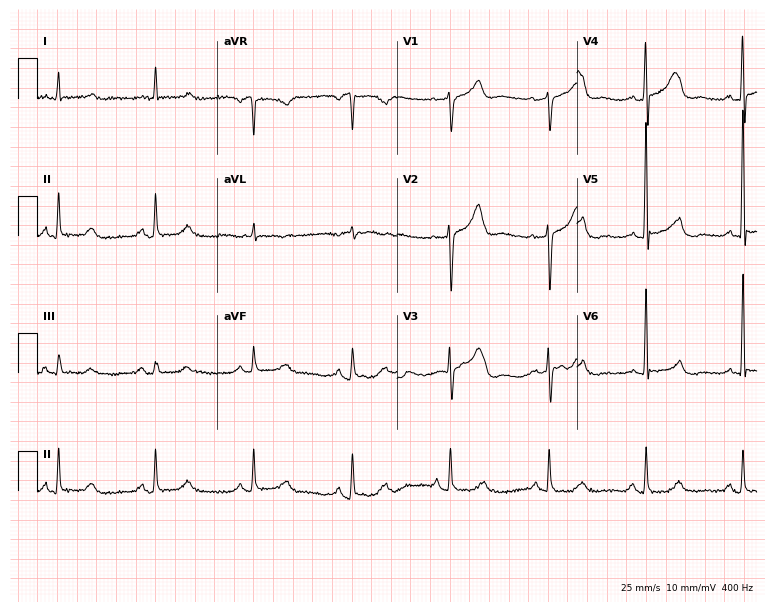
12-lead ECG from a male, 66 years old (7.3-second recording at 400 Hz). Recorded interpretation: within normal limits.